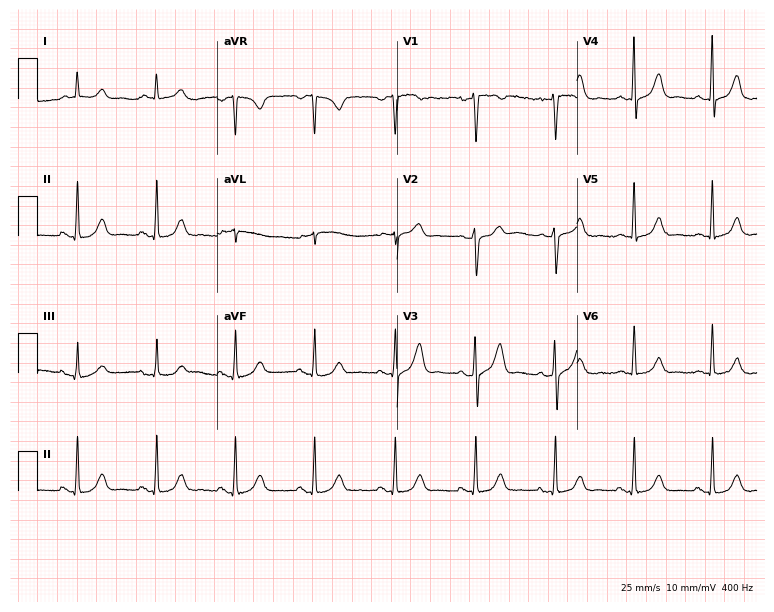
Electrocardiogram, a 57-year-old man. Overall reading on record: normal ECG.